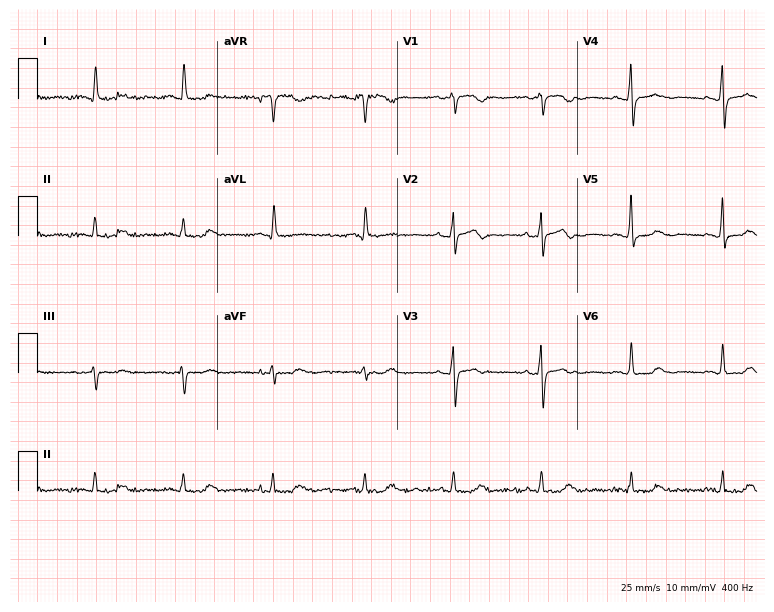
Standard 12-lead ECG recorded from a 59-year-old female patient (7.3-second recording at 400 Hz). None of these six findings is recorded: first-degree AV block, right bundle branch block, left bundle branch block, sinus bradycardia, atrial fibrillation, sinus tachycardia.